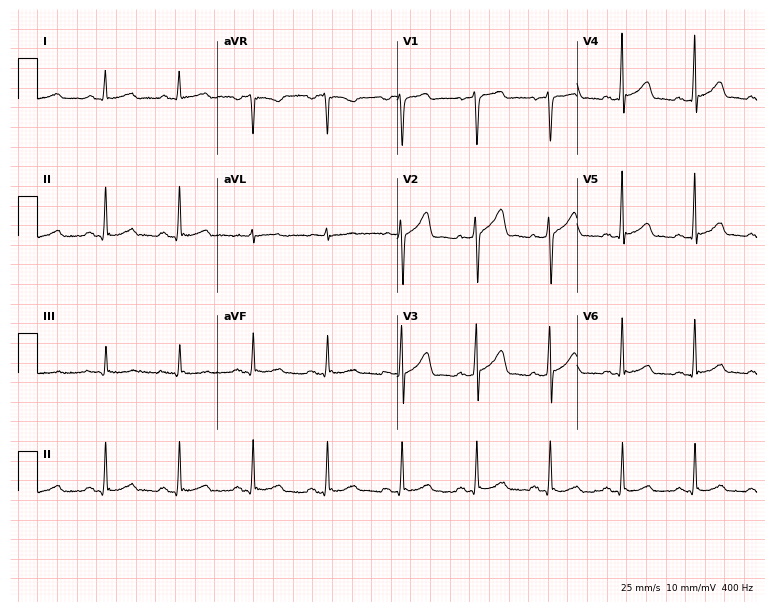
Resting 12-lead electrocardiogram. Patient: a 49-year-old man. None of these six findings is recorded: first-degree AV block, right bundle branch block, left bundle branch block, sinus bradycardia, atrial fibrillation, sinus tachycardia.